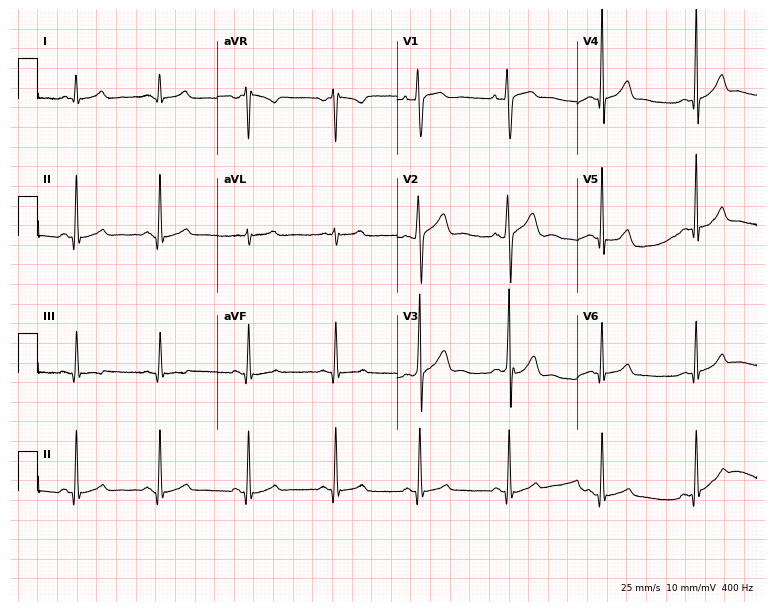
Standard 12-lead ECG recorded from a male patient, 21 years old (7.3-second recording at 400 Hz). Read as a normal ECG.